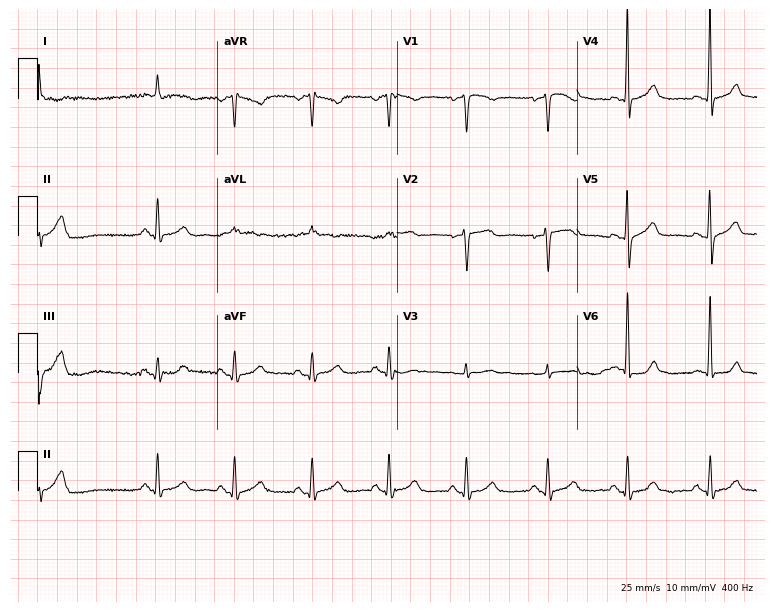
Standard 12-lead ECG recorded from a 72-year-old female (7.3-second recording at 400 Hz). None of these six findings is recorded: first-degree AV block, right bundle branch block, left bundle branch block, sinus bradycardia, atrial fibrillation, sinus tachycardia. Only these six findings were labelled.